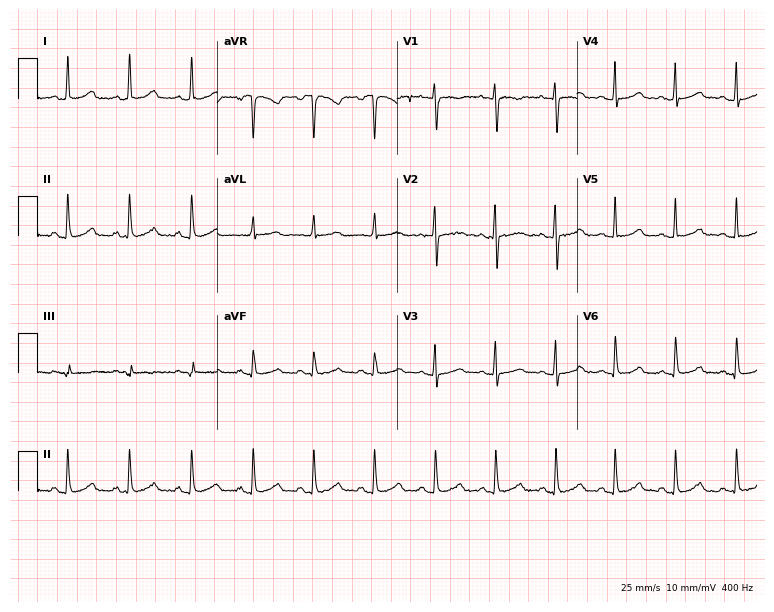
12-lead ECG from a 30-year-old woman. Recorded interpretation: within normal limits.